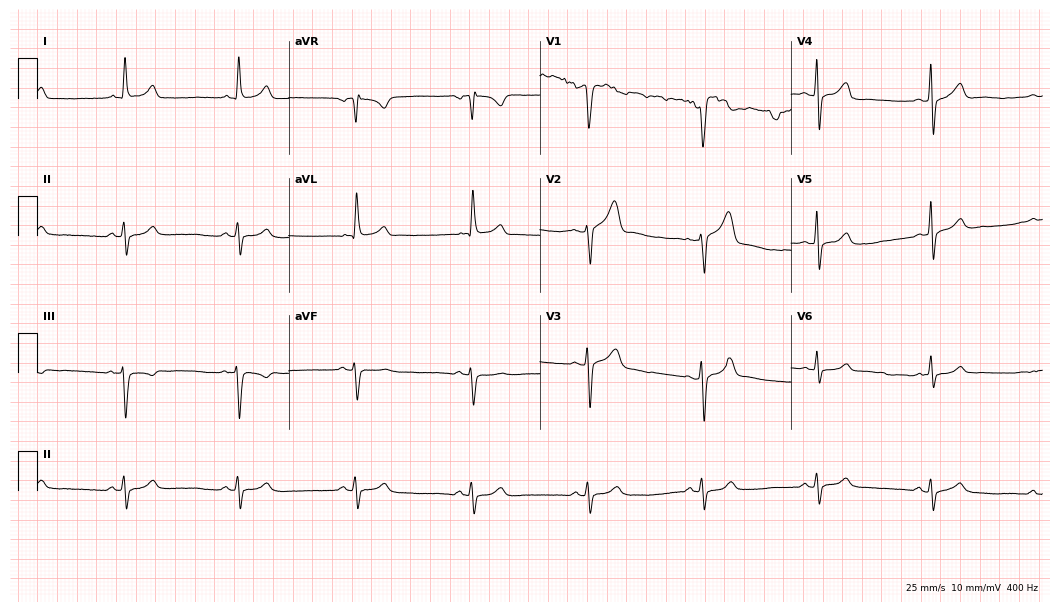
ECG — a male patient, 62 years old. Screened for six findings — first-degree AV block, right bundle branch block, left bundle branch block, sinus bradycardia, atrial fibrillation, sinus tachycardia — none is recorded.